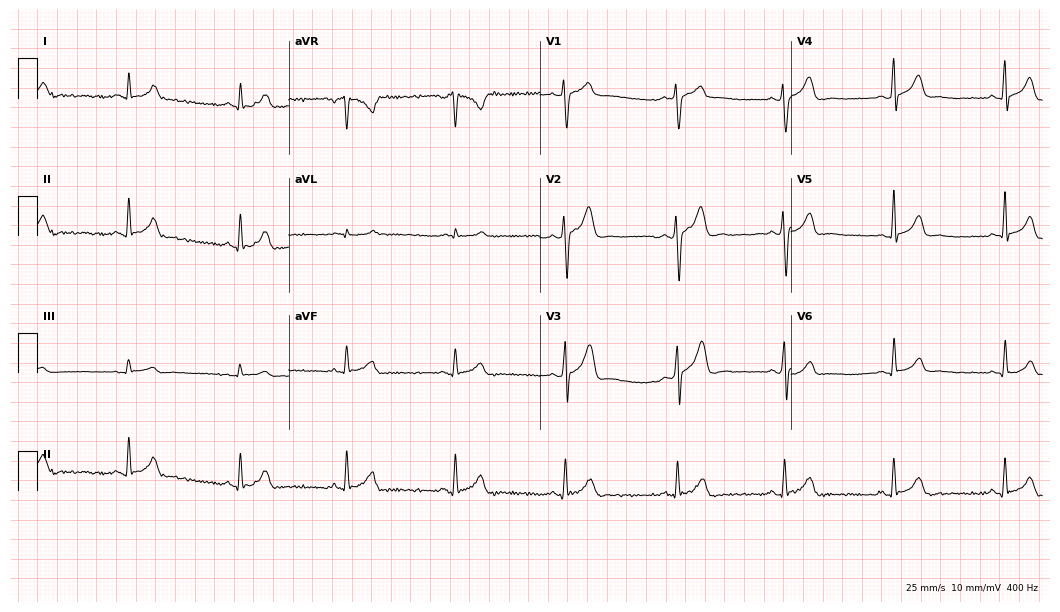
12-lead ECG (10.2-second recording at 400 Hz) from a male, 25 years old. Screened for six findings — first-degree AV block, right bundle branch block, left bundle branch block, sinus bradycardia, atrial fibrillation, sinus tachycardia — none is recorded. Other findings, if any, are not listed.